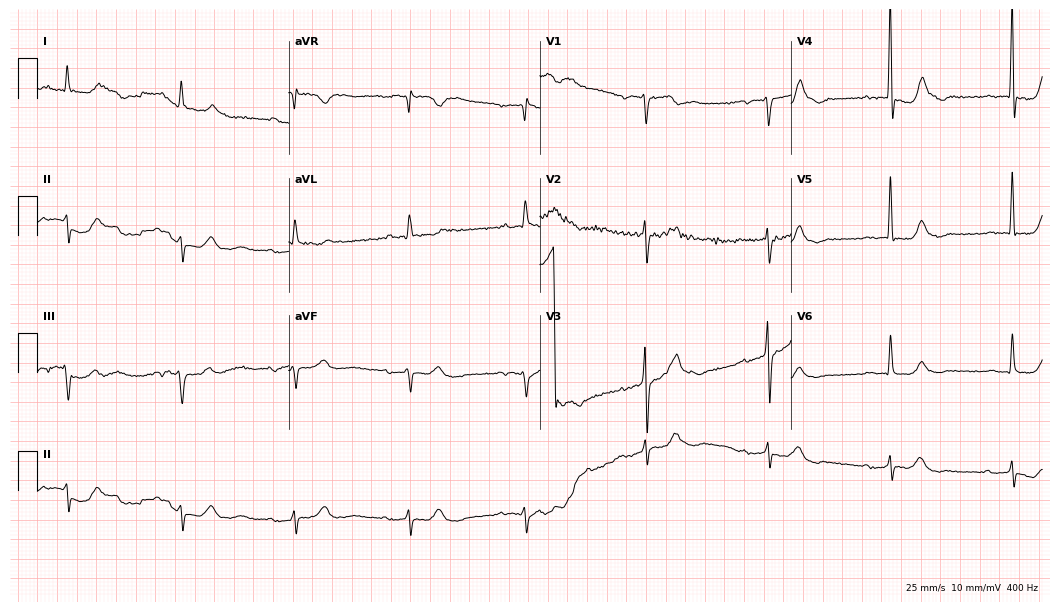
12-lead ECG from a 76-year-old male patient (10.2-second recording at 400 Hz). Shows first-degree AV block.